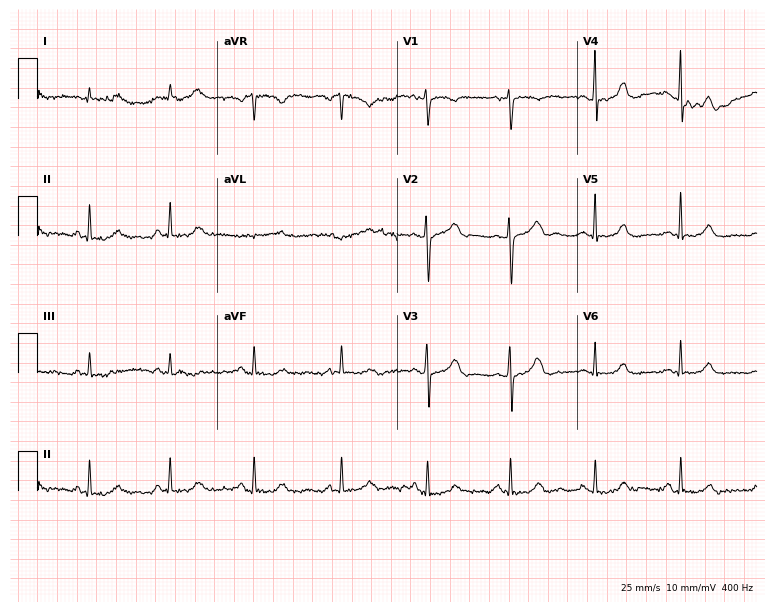
12-lead ECG from a female, 40 years old. Screened for six findings — first-degree AV block, right bundle branch block, left bundle branch block, sinus bradycardia, atrial fibrillation, sinus tachycardia — none is recorded.